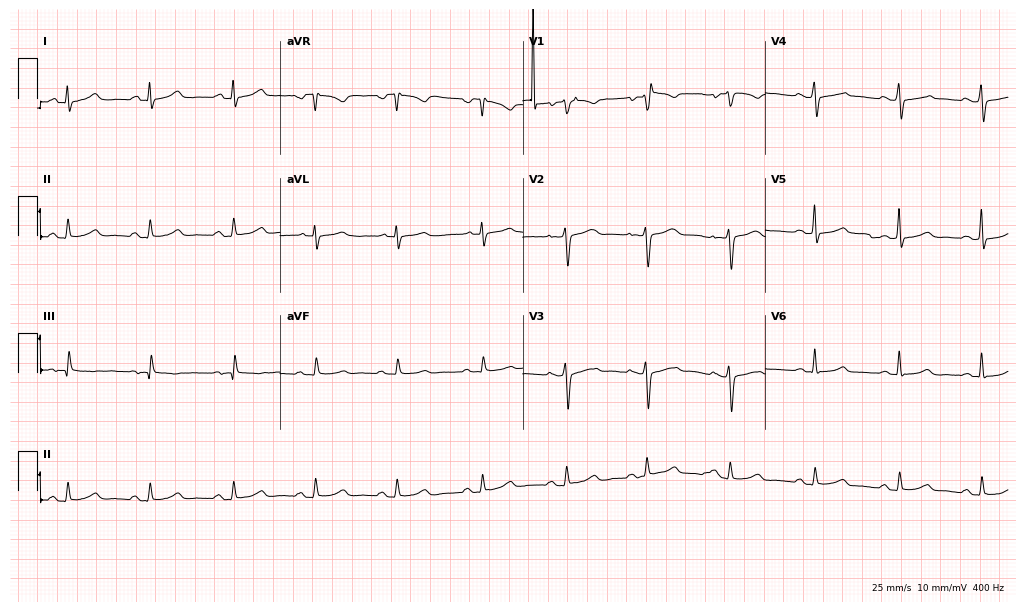
12-lead ECG (9.9-second recording at 400 Hz) from a 37-year-old woman. Labelled as a normal ECG.